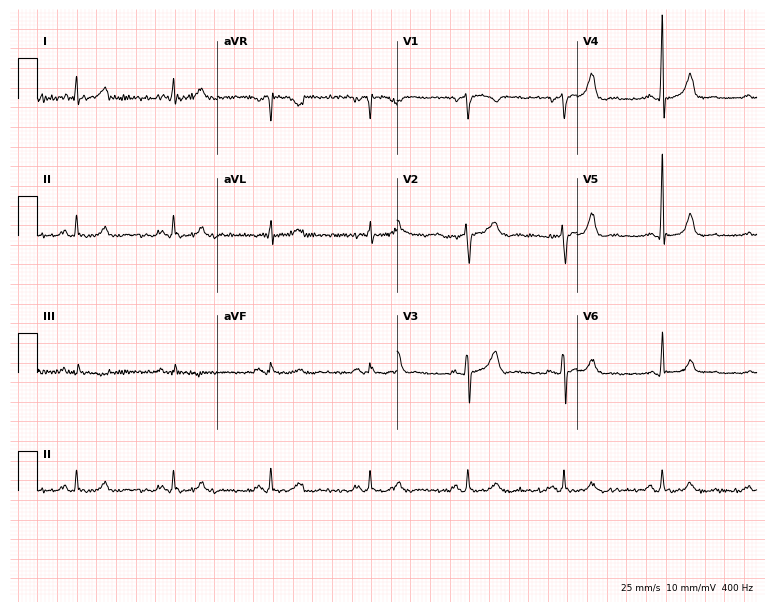
Electrocardiogram (7.3-second recording at 400 Hz), a 56-year-old man. Overall reading on record: normal ECG.